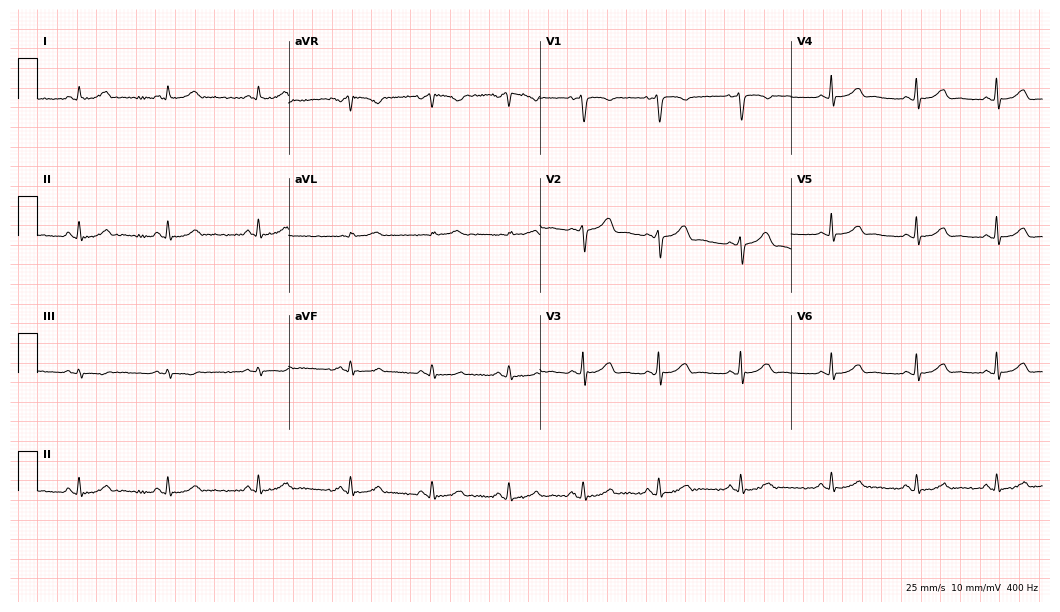
12-lead ECG from a female, 46 years old. Labelled as a normal ECG.